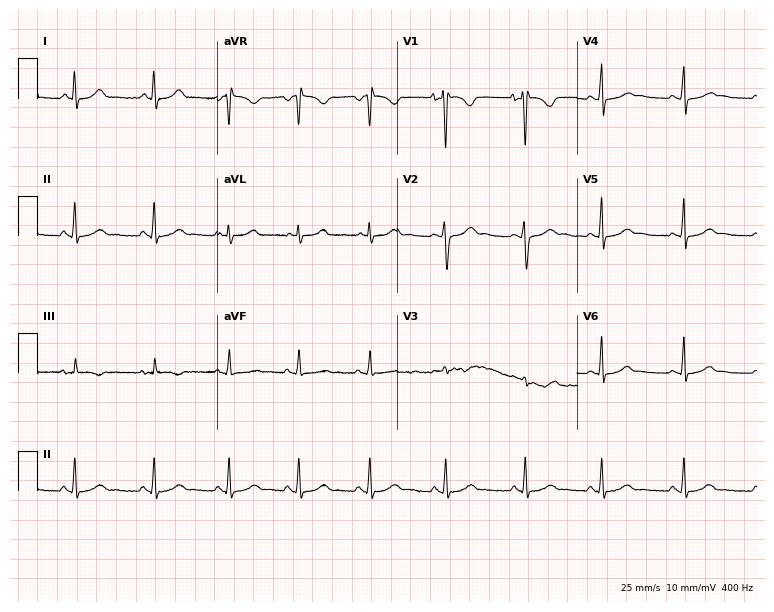
Standard 12-lead ECG recorded from an 18-year-old female (7.3-second recording at 400 Hz). Read as a normal ECG.